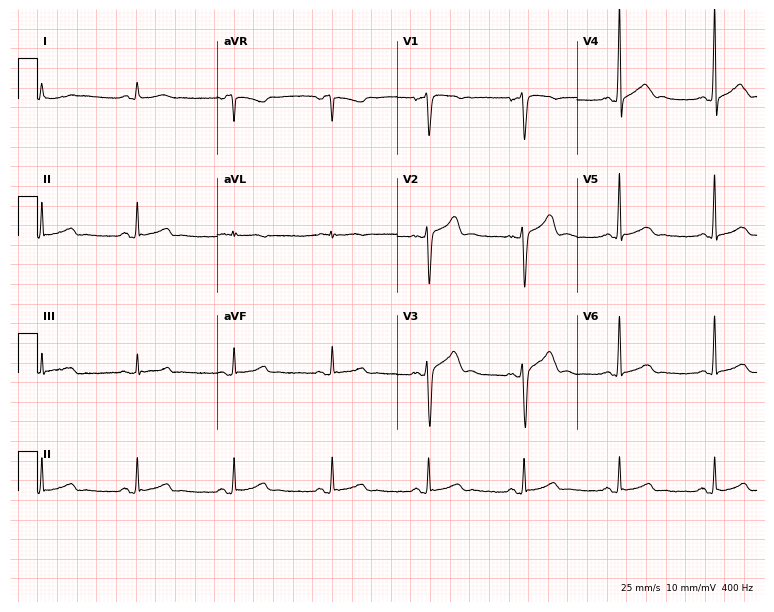
Electrocardiogram, a male patient, 48 years old. Of the six screened findings (first-degree AV block, right bundle branch block (RBBB), left bundle branch block (LBBB), sinus bradycardia, atrial fibrillation (AF), sinus tachycardia), none is recorded. Only these six findings were labelled.